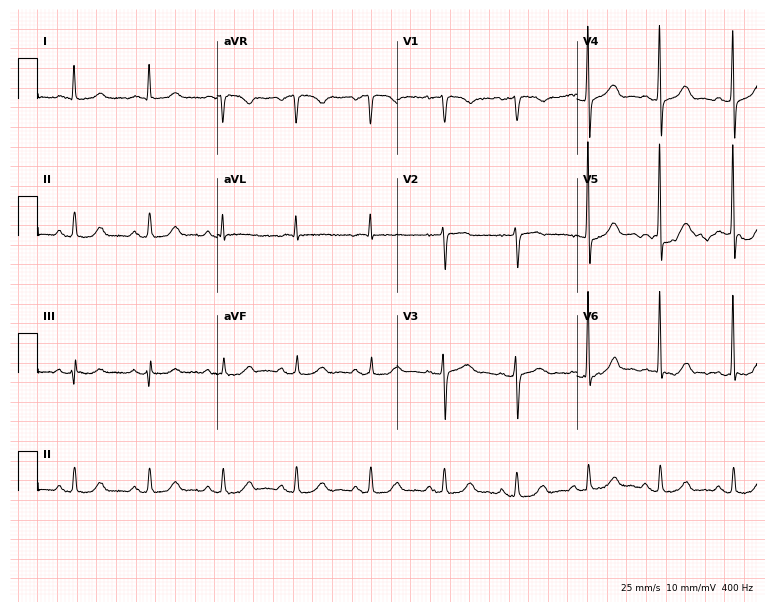
Electrocardiogram, a 71-year-old female patient. Of the six screened findings (first-degree AV block, right bundle branch block, left bundle branch block, sinus bradycardia, atrial fibrillation, sinus tachycardia), none is recorded.